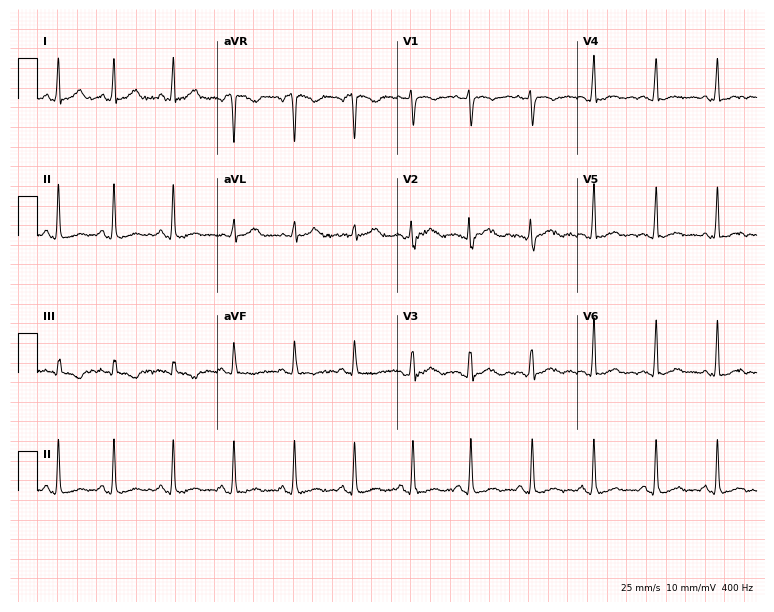
Electrocardiogram, a 22-year-old woman. Of the six screened findings (first-degree AV block, right bundle branch block (RBBB), left bundle branch block (LBBB), sinus bradycardia, atrial fibrillation (AF), sinus tachycardia), none is recorded.